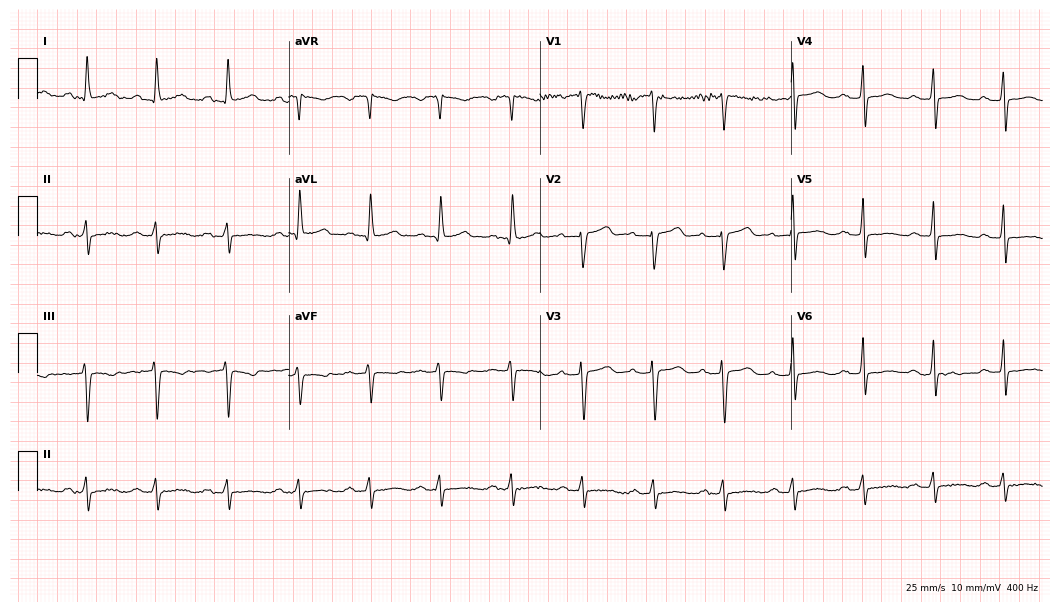
12-lead ECG from a 57-year-old female (10.2-second recording at 400 Hz). Recorded interpretation: within normal limits.